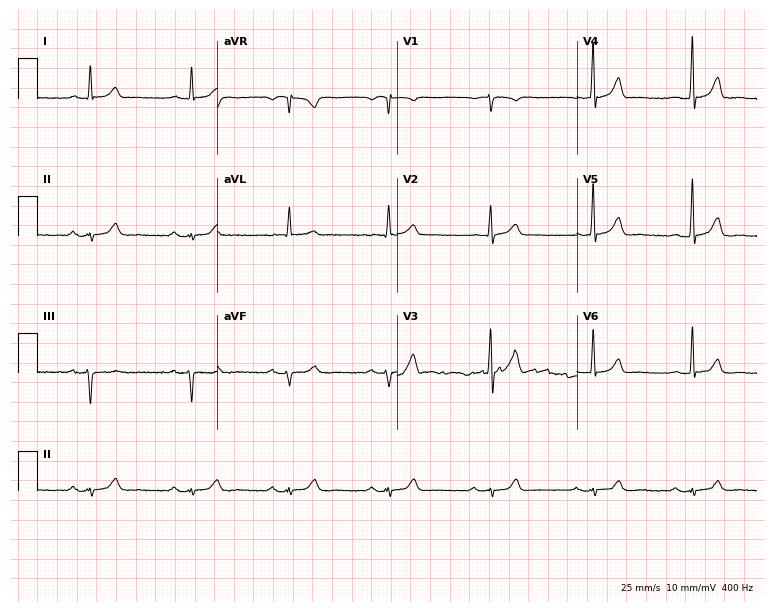
Resting 12-lead electrocardiogram. Patient: a 59-year-old man. Read as a normal ECG.